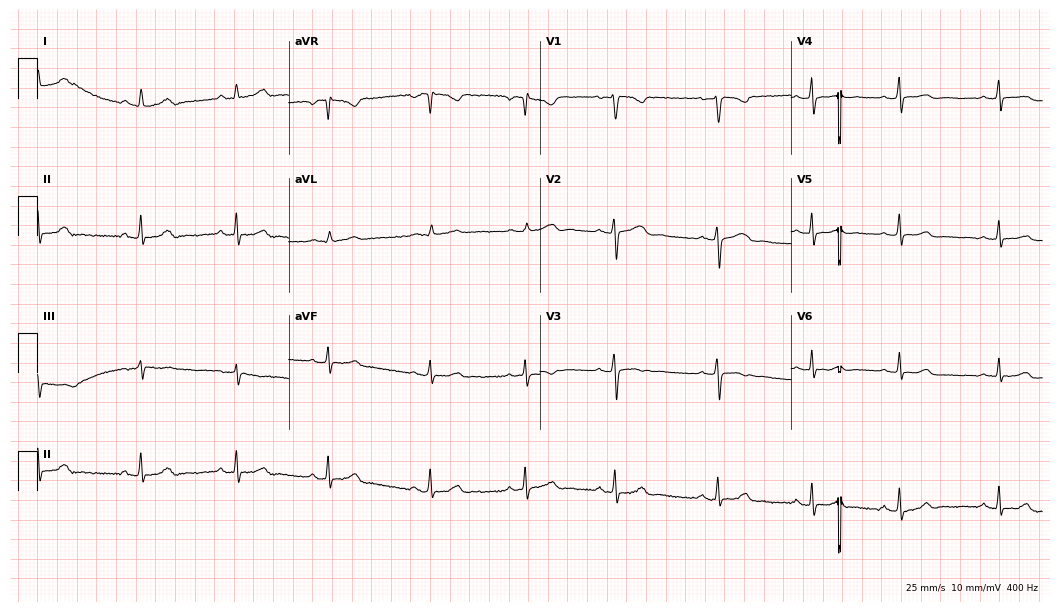
ECG — a woman, 30 years old. Screened for six findings — first-degree AV block, right bundle branch block, left bundle branch block, sinus bradycardia, atrial fibrillation, sinus tachycardia — none is recorded. Findings outside these six are not listed.